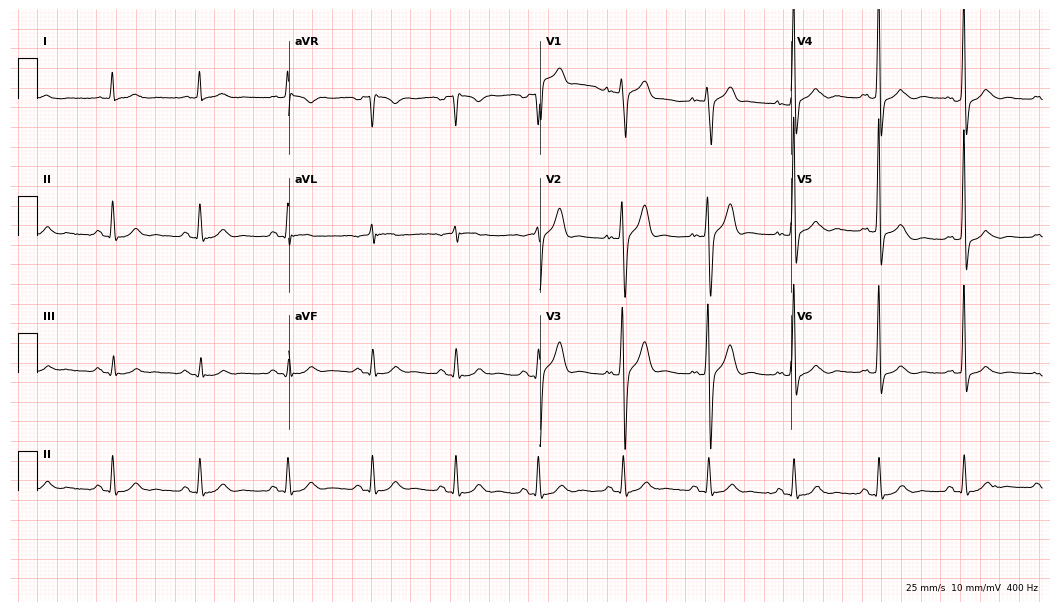
12-lead ECG from a 74-year-old man. Screened for six findings — first-degree AV block, right bundle branch block, left bundle branch block, sinus bradycardia, atrial fibrillation, sinus tachycardia — none is recorded.